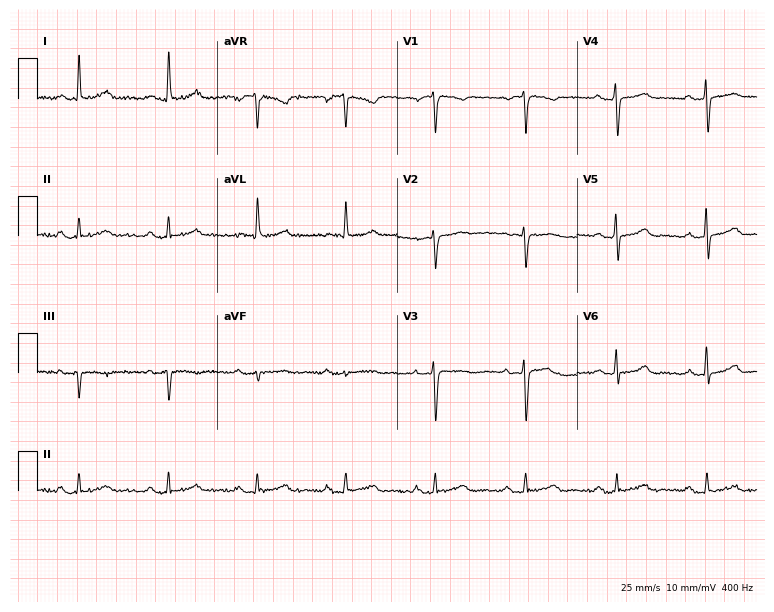
ECG (7.3-second recording at 400 Hz) — a female patient, 18 years old. Labelled as a normal ECG.